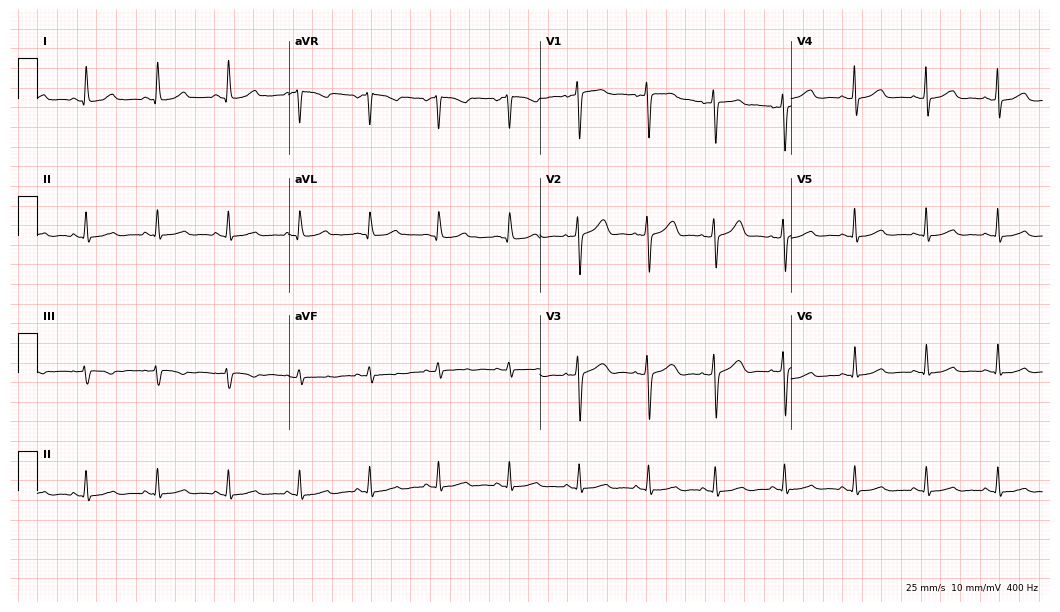
12-lead ECG from a female, 40 years old. Recorded interpretation: within normal limits.